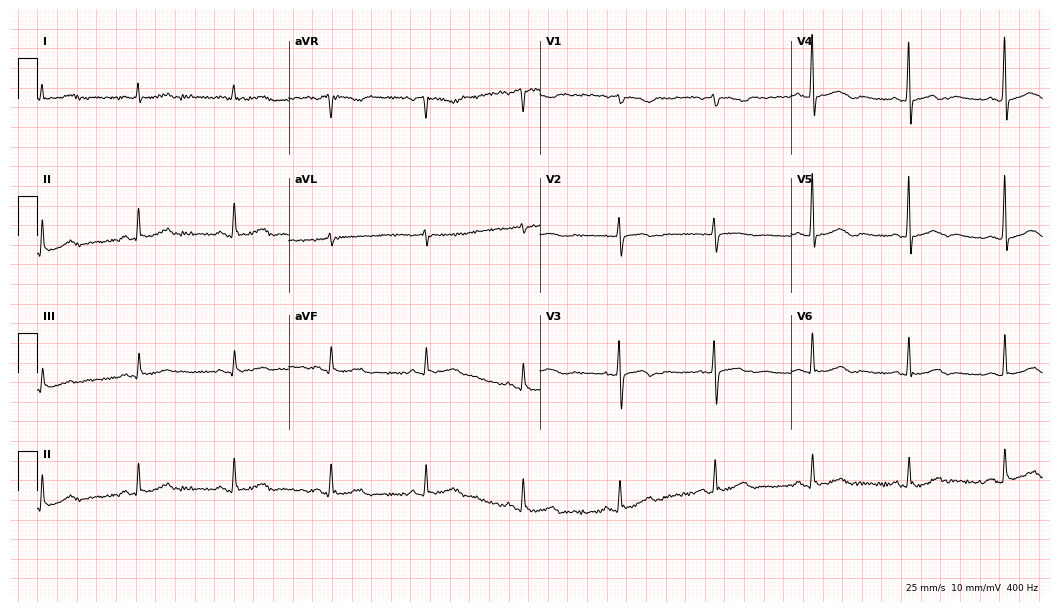
Resting 12-lead electrocardiogram. Patient: a female, 84 years old. Read as a normal ECG.